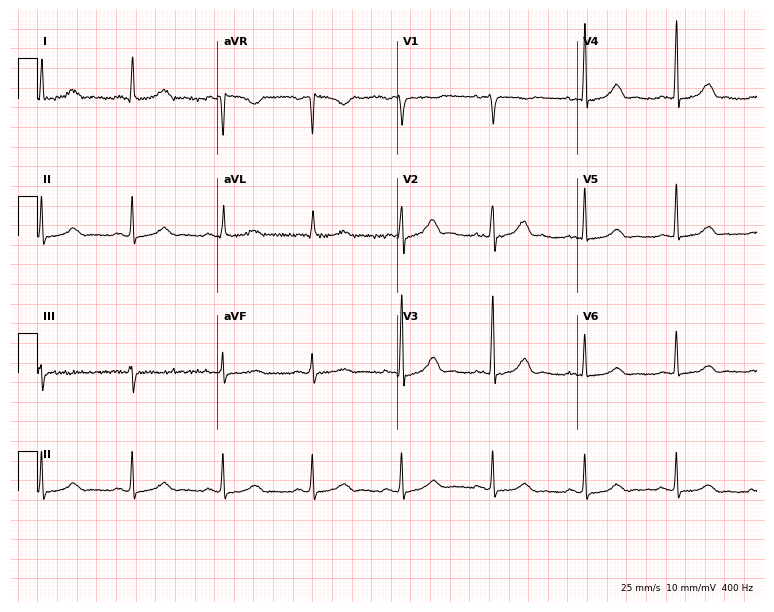
12-lead ECG (7.3-second recording at 400 Hz) from a 60-year-old female. Labelled as a normal ECG.